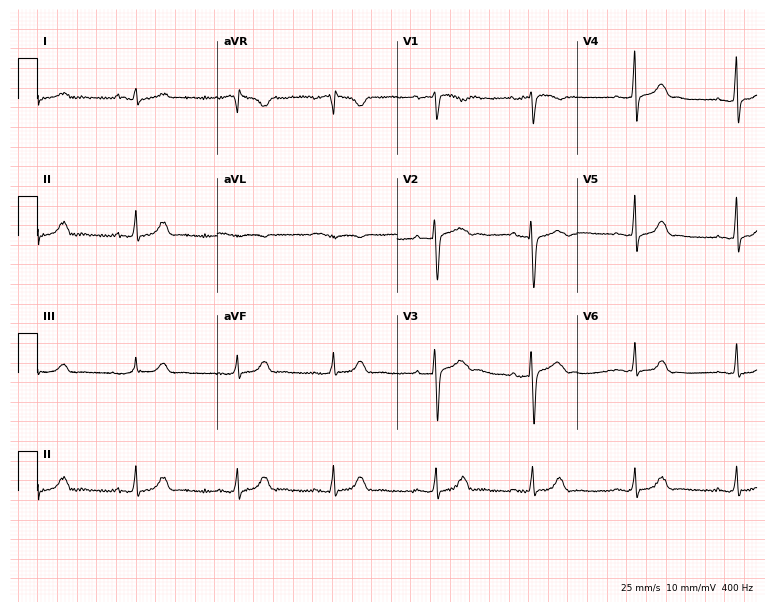
Electrocardiogram, an 18-year-old female. Overall reading on record: normal ECG.